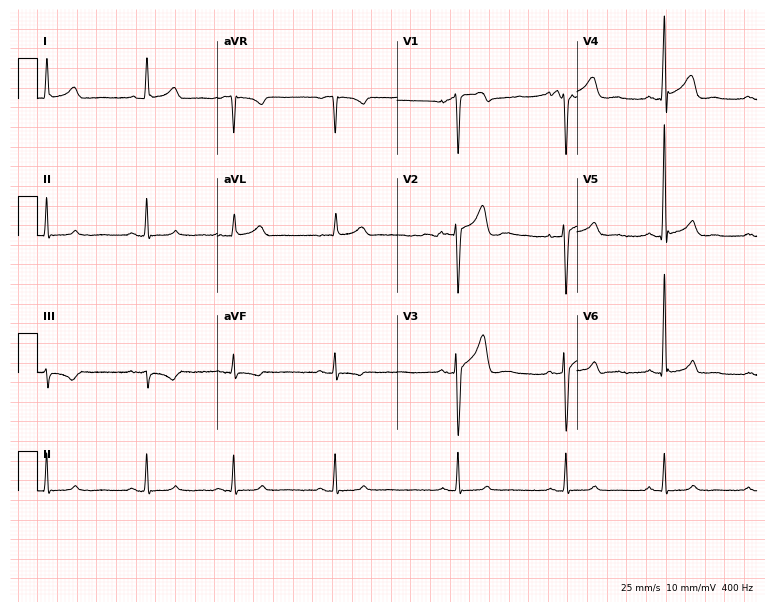
Resting 12-lead electrocardiogram (7.3-second recording at 400 Hz). Patient: a 54-year-old male. None of these six findings is recorded: first-degree AV block, right bundle branch block (RBBB), left bundle branch block (LBBB), sinus bradycardia, atrial fibrillation (AF), sinus tachycardia.